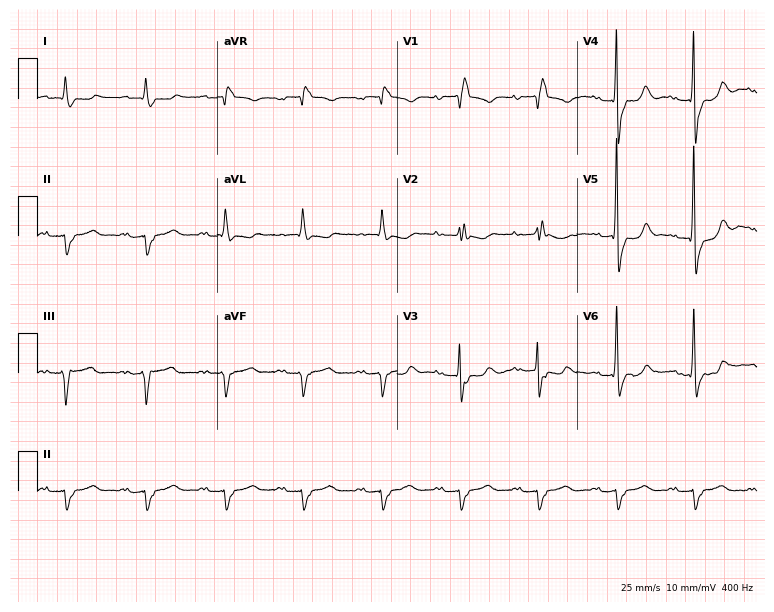
Standard 12-lead ECG recorded from a male, 84 years old (7.3-second recording at 400 Hz). The tracing shows first-degree AV block, right bundle branch block.